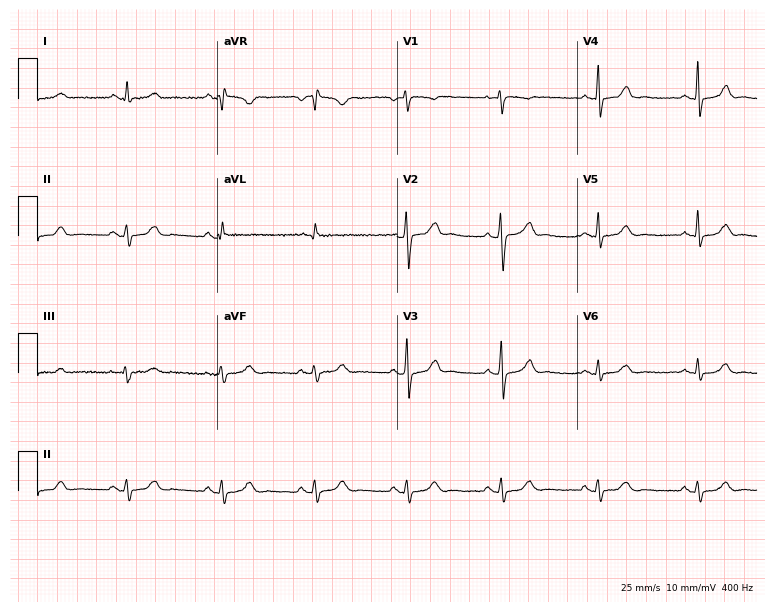
12-lead ECG from a female, 47 years old. Labelled as a normal ECG.